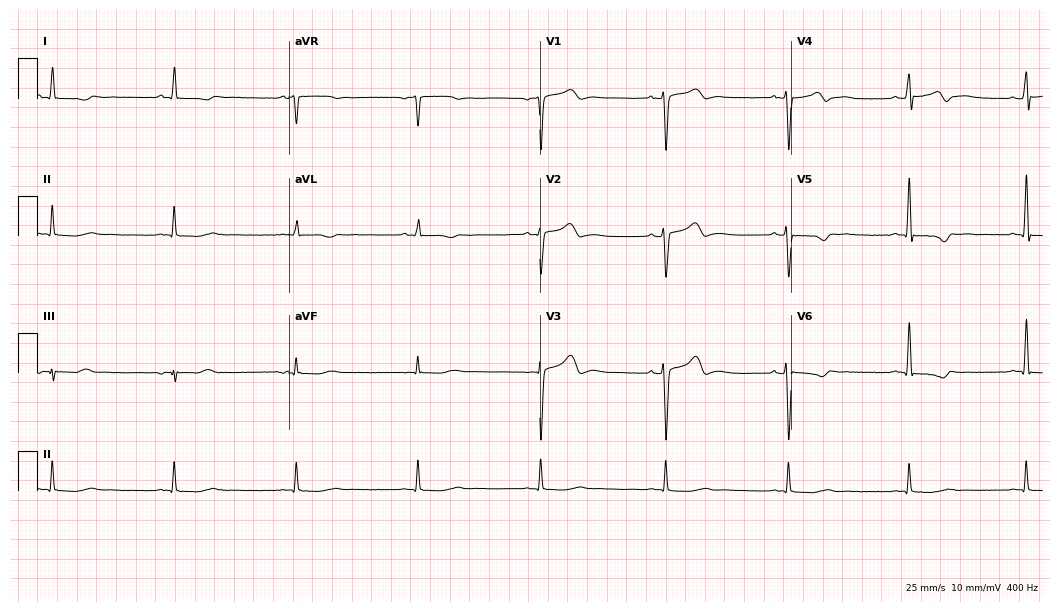
Standard 12-lead ECG recorded from a male, 64 years old (10.2-second recording at 400 Hz). None of these six findings is recorded: first-degree AV block, right bundle branch block (RBBB), left bundle branch block (LBBB), sinus bradycardia, atrial fibrillation (AF), sinus tachycardia. Only these six findings were labelled.